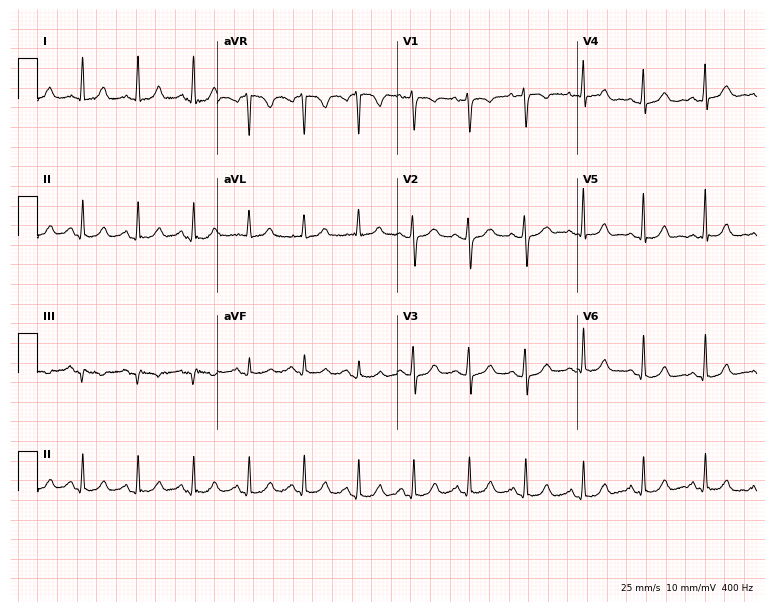
Electrocardiogram, a female patient, 35 years old. Overall reading on record: normal ECG.